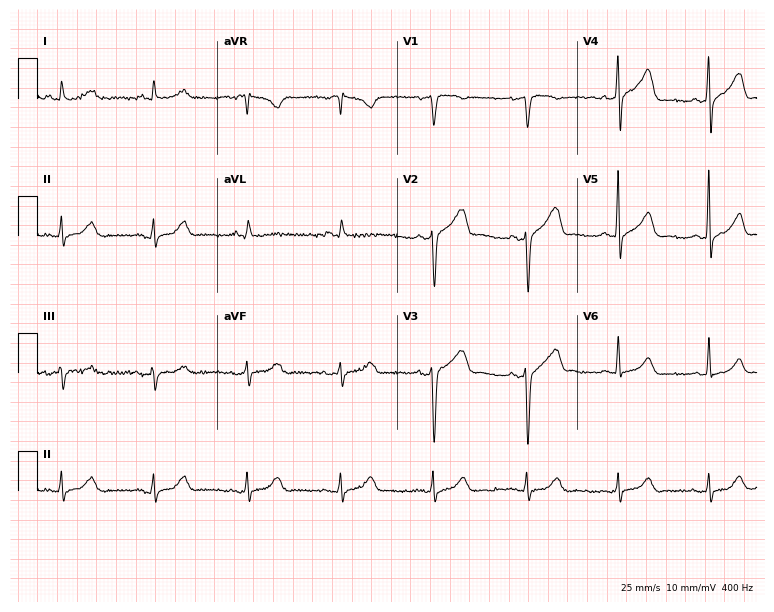
Resting 12-lead electrocardiogram. Patient: a male, 68 years old. None of these six findings is recorded: first-degree AV block, right bundle branch block, left bundle branch block, sinus bradycardia, atrial fibrillation, sinus tachycardia. Other findings, if any, are not listed.